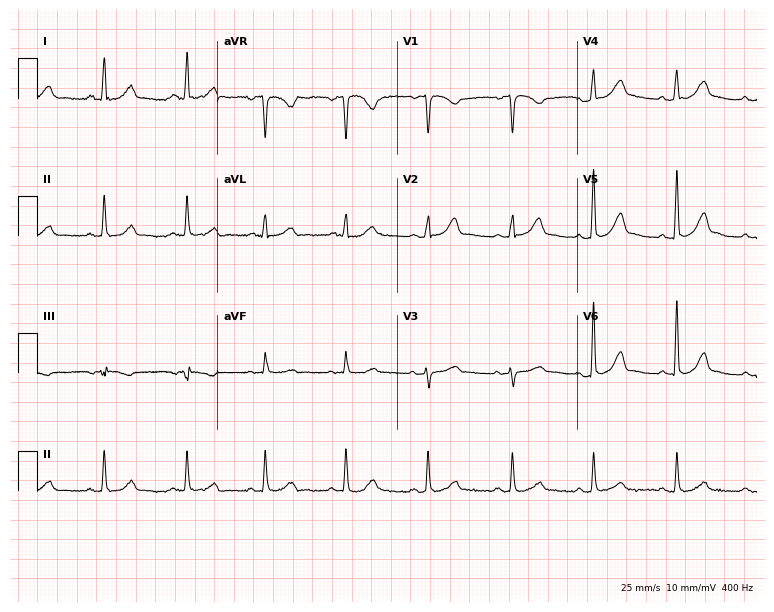
Electrocardiogram (7.3-second recording at 400 Hz), a 50-year-old female. Overall reading on record: normal ECG.